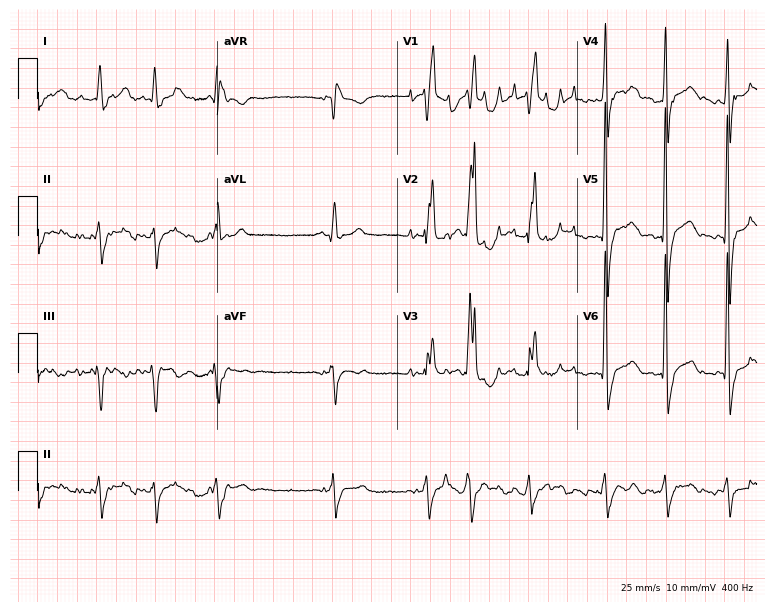
Resting 12-lead electrocardiogram (7.3-second recording at 400 Hz). Patient: a 70-year-old woman. The tracing shows right bundle branch block, atrial fibrillation.